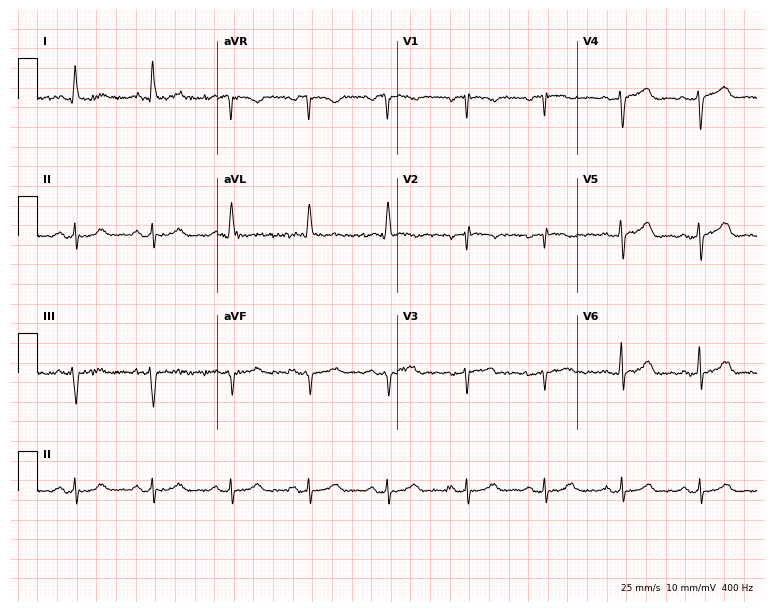
Standard 12-lead ECG recorded from a woman, 68 years old. None of these six findings is recorded: first-degree AV block, right bundle branch block (RBBB), left bundle branch block (LBBB), sinus bradycardia, atrial fibrillation (AF), sinus tachycardia. Findings outside these six are not listed.